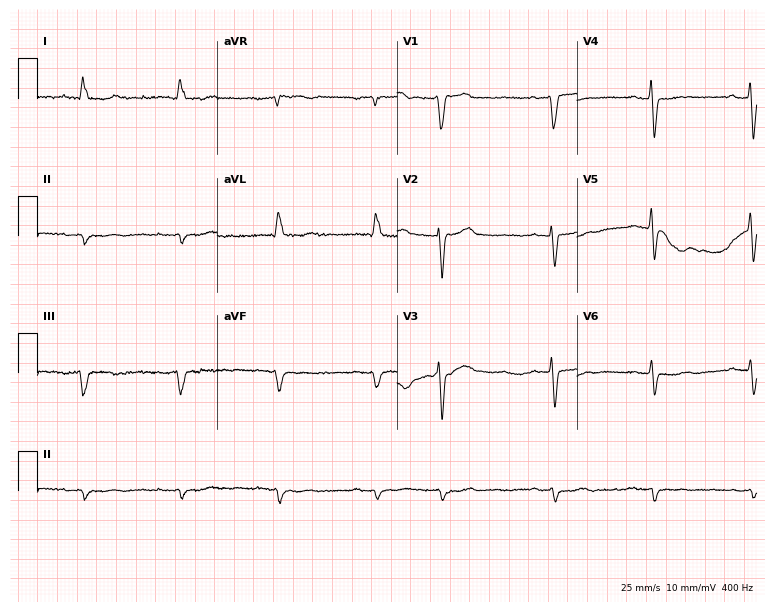
ECG — a male patient, 81 years old. Screened for six findings — first-degree AV block, right bundle branch block, left bundle branch block, sinus bradycardia, atrial fibrillation, sinus tachycardia — none is recorded. Only these six findings were labelled.